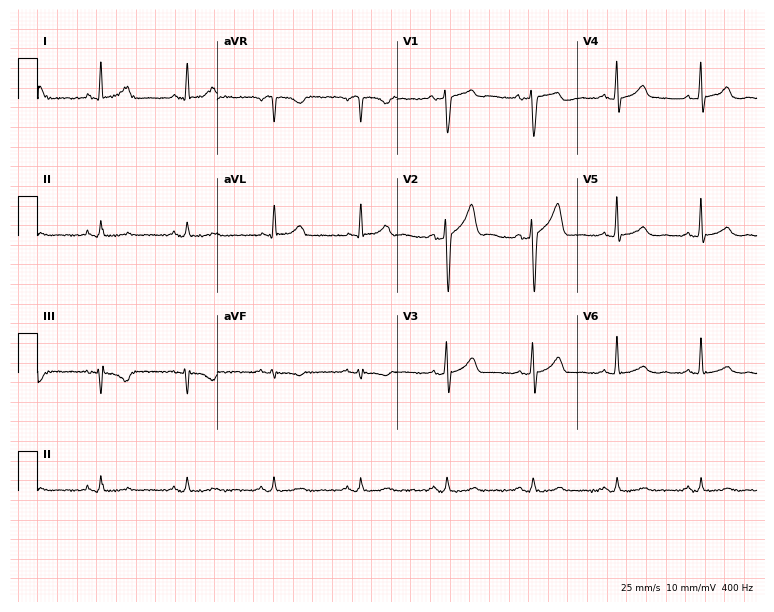
12-lead ECG from a male patient, 59 years old. No first-degree AV block, right bundle branch block, left bundle branch block, sinus bradycardia, atrial fibrillation or sinus tachycardia recorded for this tracing.